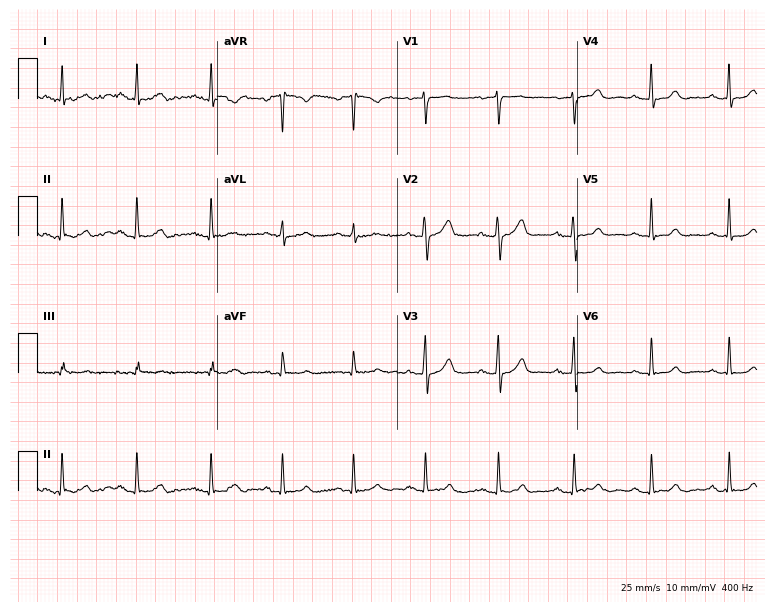
Electrocardiogram (7.3-second recording at 400 Hz), a woman, 56 years old. Overall reading on record: normal ECG.